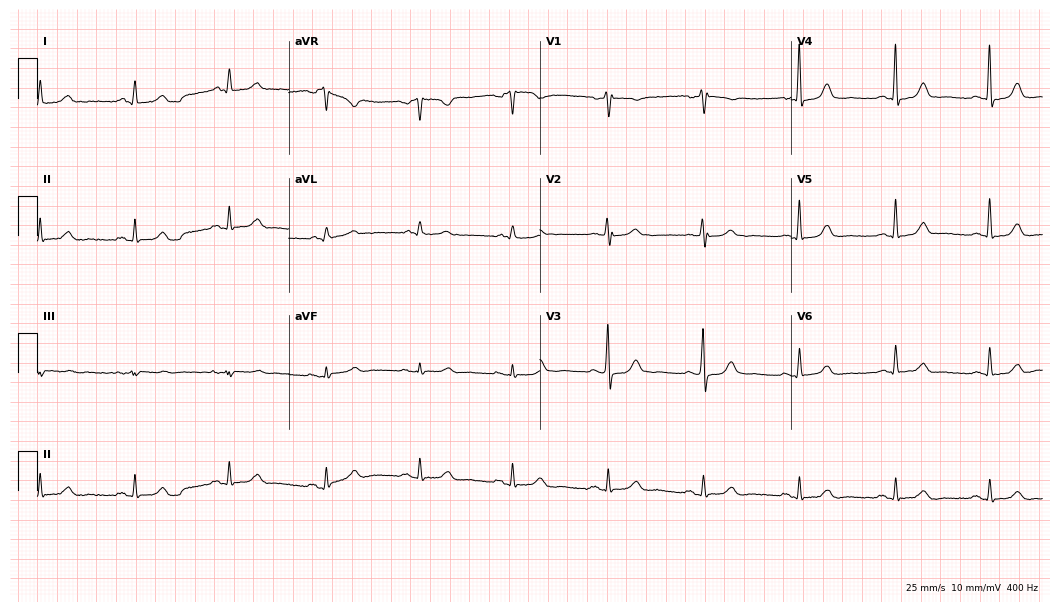
Resting 12-lead electrocardiogram. Patient: a woman, 67 years old. None of these six findings is recorded: first-degree AV block, right bundle branch block, left bundle branch block, sinus bradycardia, atrial fibrillation, sinus tachycardia. Findings outside these six are not listed.